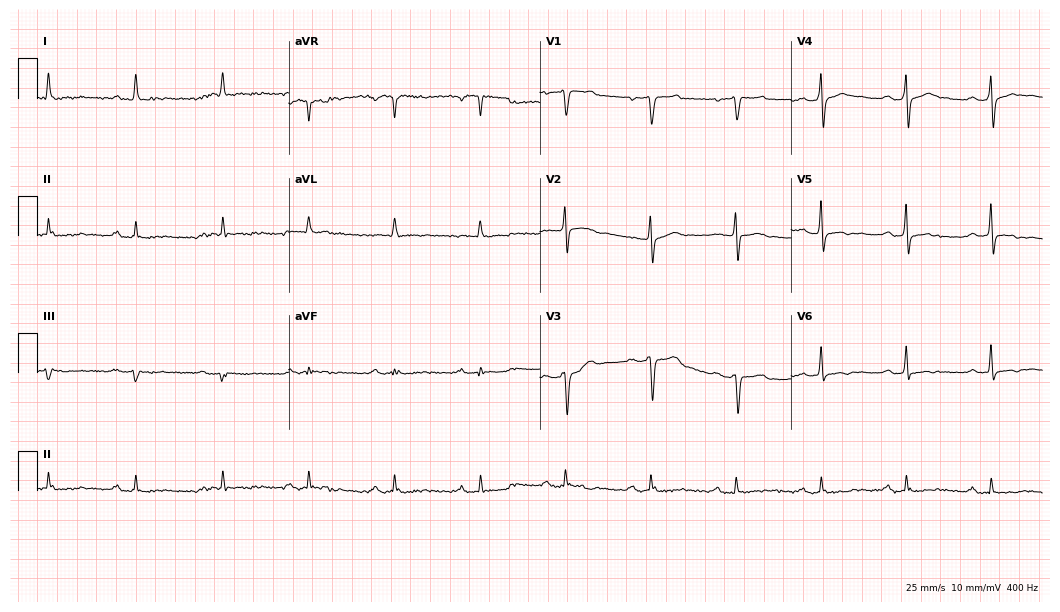
Electrocardiogram (10.2-second recording at 400 Hz), a male patient, 62 years old. Interpretation includes first-degree AV block.